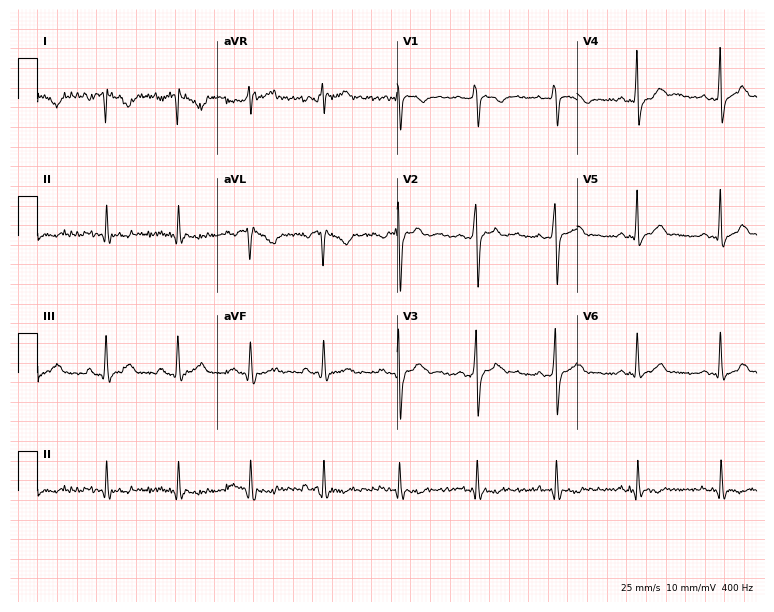
12-lead ECG from a man, 30 years old. Screened for six findings — first-degree AV block, right bundle branch block, left bundle branch block, sinus bradycardia, atrial fibrillation, sinus tachycardia — none is recorded.